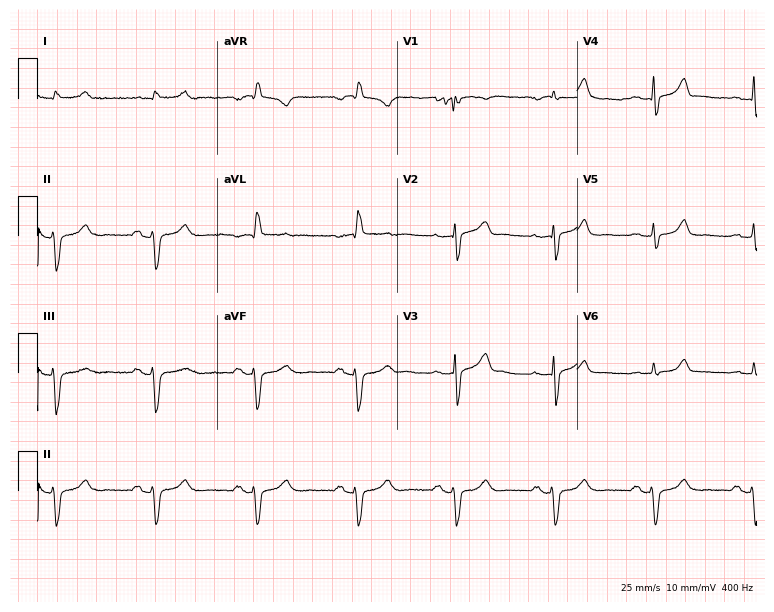
12-lead ECG from a 79-year-old male patient (7.3-second recording at 400 Hz). No first-degree AV block, right bundle branch block, left bundle branch block, sinus bradycardia, atrial fibrillation or sinus tachycardia recorded for this tracing.